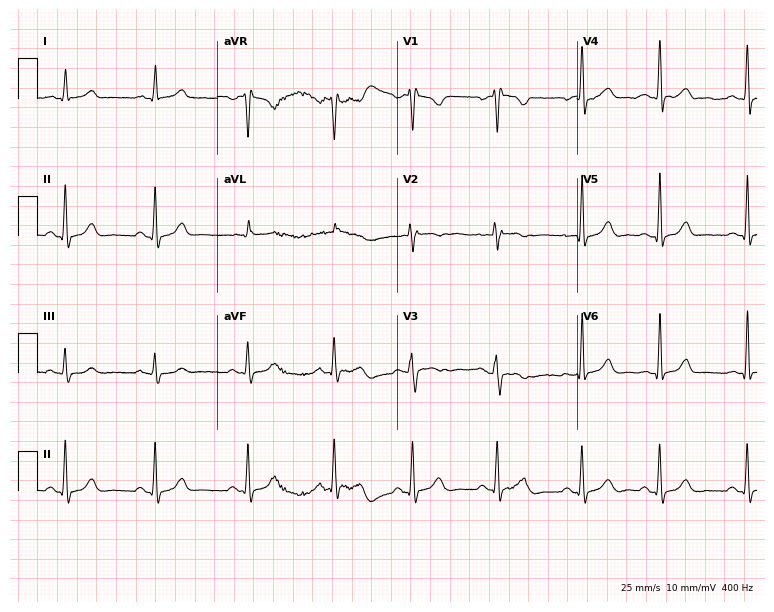
12-lead ECG from a female patient, 37 years old. Screened for six findings — first-degree AV block, right bundle branch block (RBBB), left bundle branch block (LBBB), sinus bradycardia, atrial fibrillation (AF), sinus tachycardia — none is recorded.